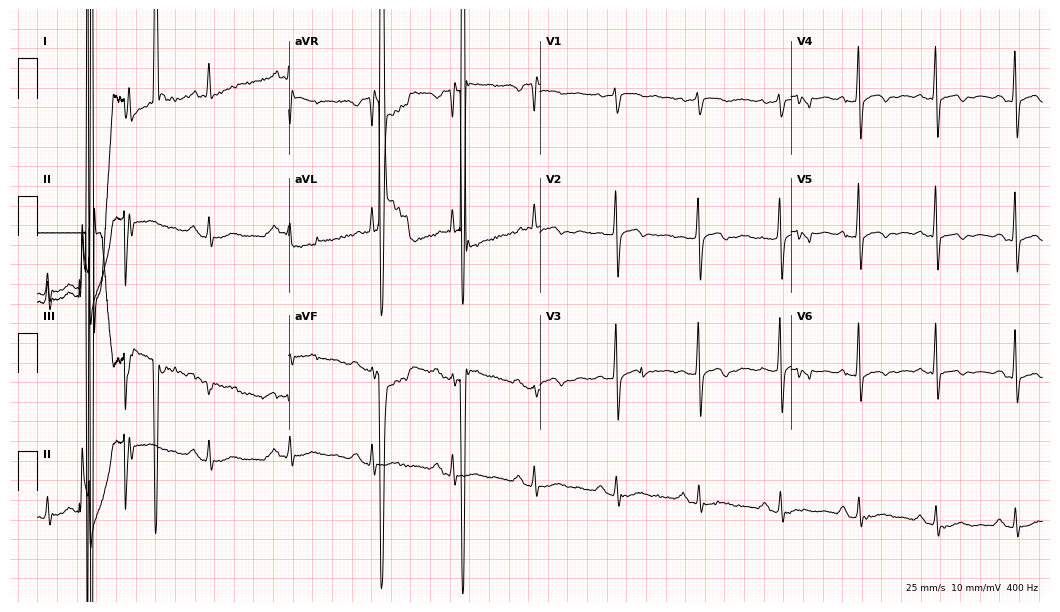
12-lead ECG (10.2-second recording at 400 Hz) from a male, 71 years old. Screened for six findings — first-degree AV block, right bundle branch block, left bundle branch block, sinus bradycardia, atrial fibrillation, sinus tachycardia — none is recorded. Only these six findings were labelled.